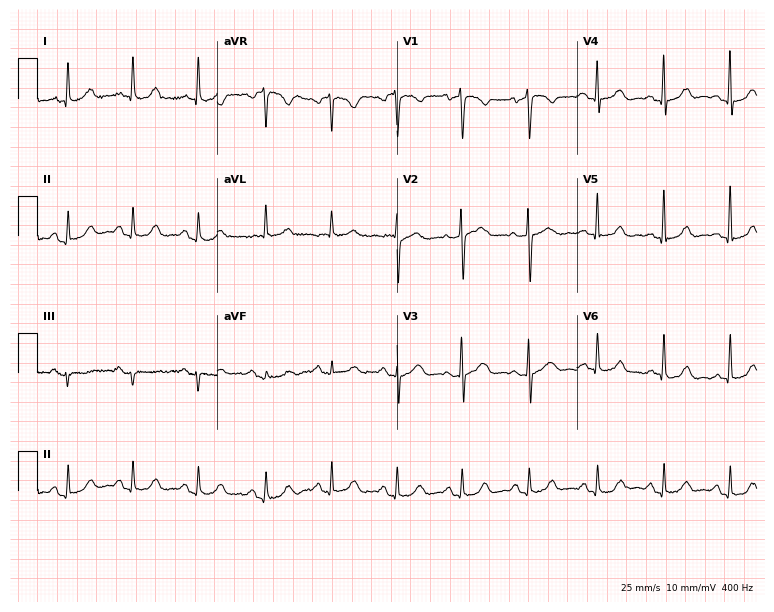
Resting 12-lead electrocardiogram. Patient: a woman, 71 years old. None of these six findings is recorded: first-degree AV block, right bundle branch block, left bundle branch block, sinus bradycardia, atrial fibrillation, sinus tachycardia.